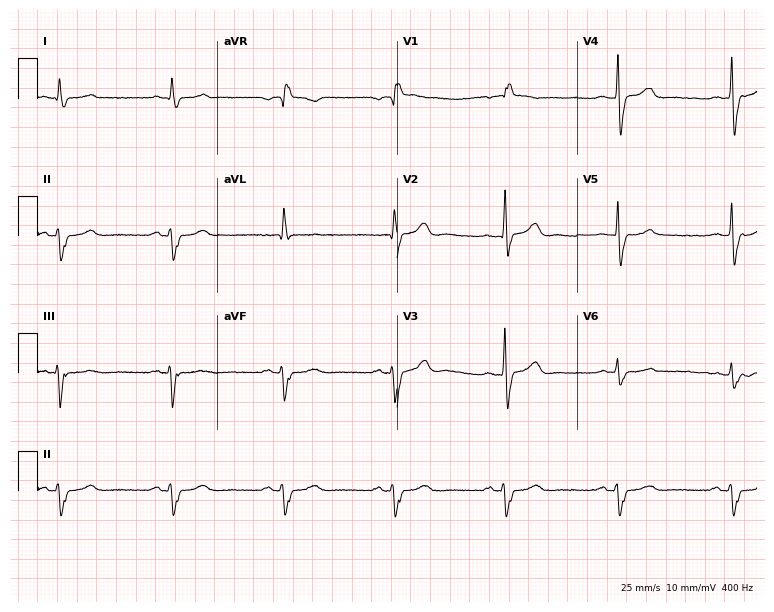
Electrocardiogram (7.3-second recording at 400 Hz), a male, 66 years old. Interpretation includes right bundle branch block (RBBB).